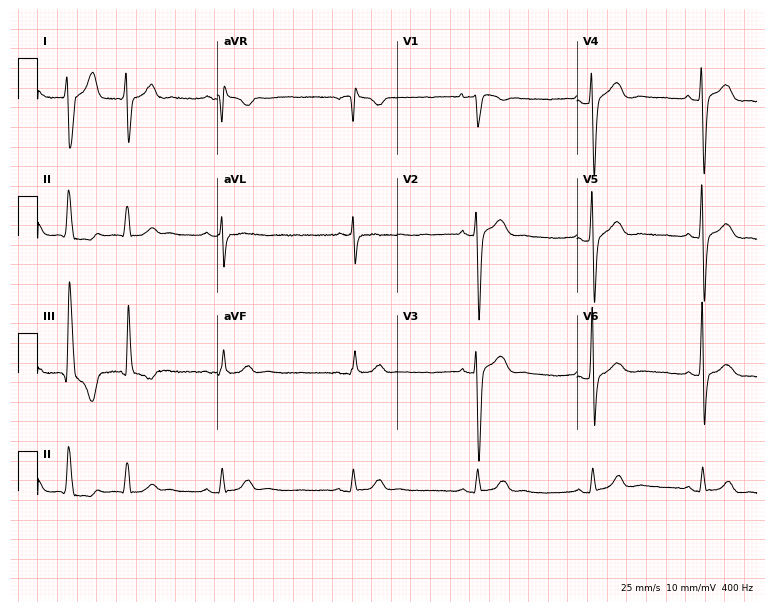
ECG — a man, 36 years old. Screened for six findings — first-degree AV block, right bundle branch block (RBBB), left bundle branch block (LBBB), sinus bradycardia, atrial fibrillation (AF), sinus tachycardia — none is recorded.